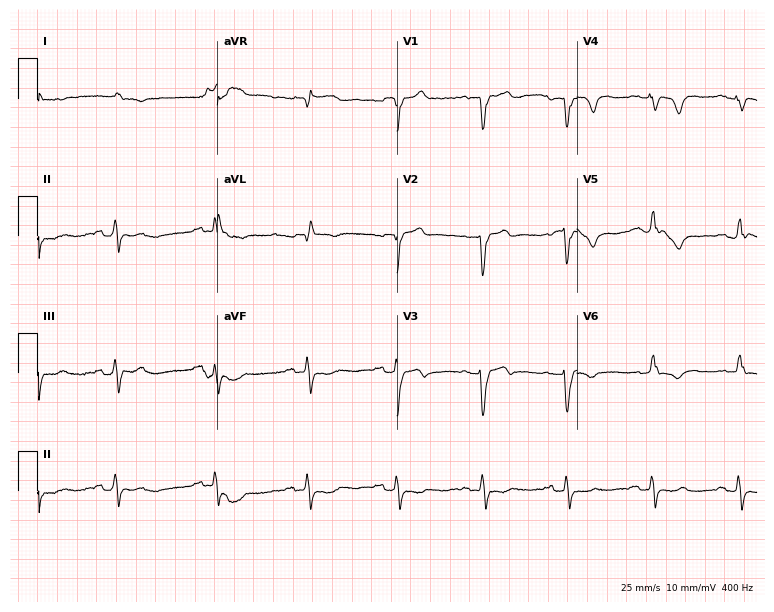
Resting 12-lead electrocardiogram. Patient: a man, 81 years old. None of these six findings is recorded: first-degree AV block, right bundle branch block (RBBB), left bundle branch block (LBBB), sinus bradycardia, atrial fibrillation (AF), sinus tachycardia. Findings outside these six are not listed.